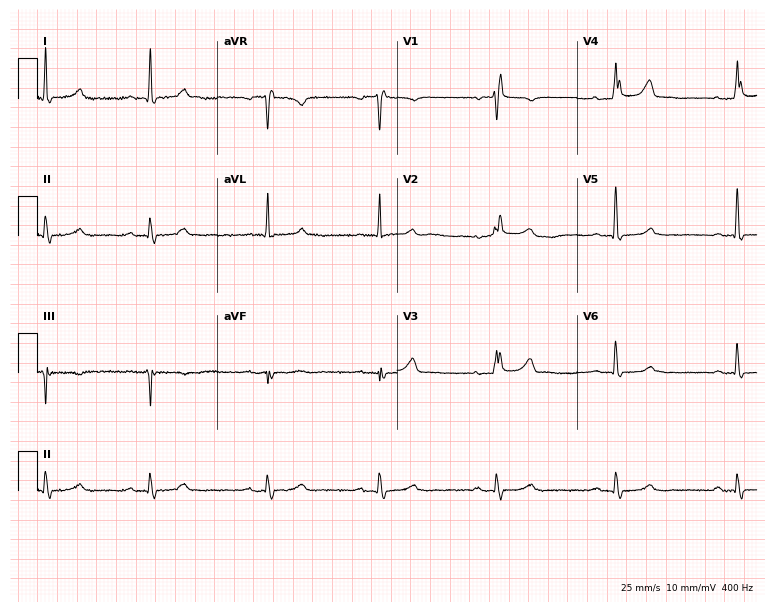
12-lead ECG (7.3-second recording at 400 Hz) from a 72-year-old female patient. Screened for six findings — first-degree AV block, right bundle branch block, left bundle branch block, sinus bradycardia, atrial fibrillation, sinus tachycardia — none is recorded.